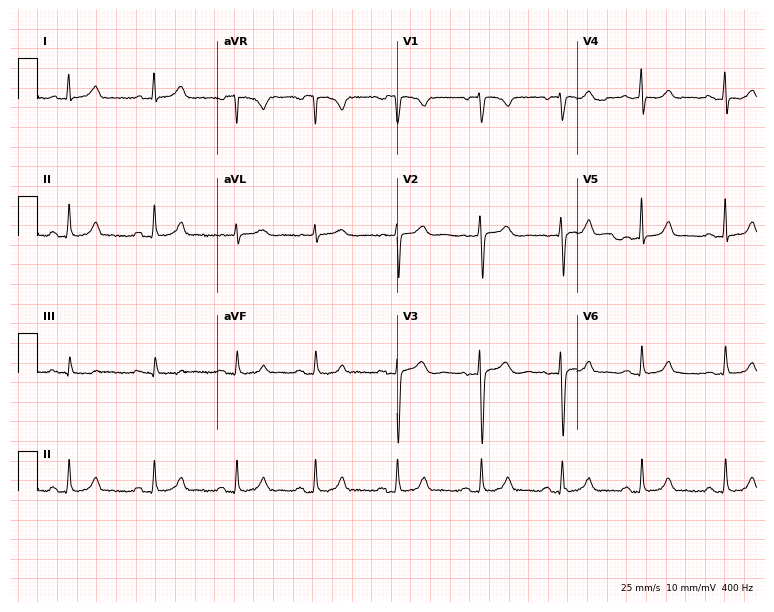
Resting 12-lead electrocardiogram (7.3-second recording at 400 Hz). Patient: a 42-year-old female. Read as a normal ECG.